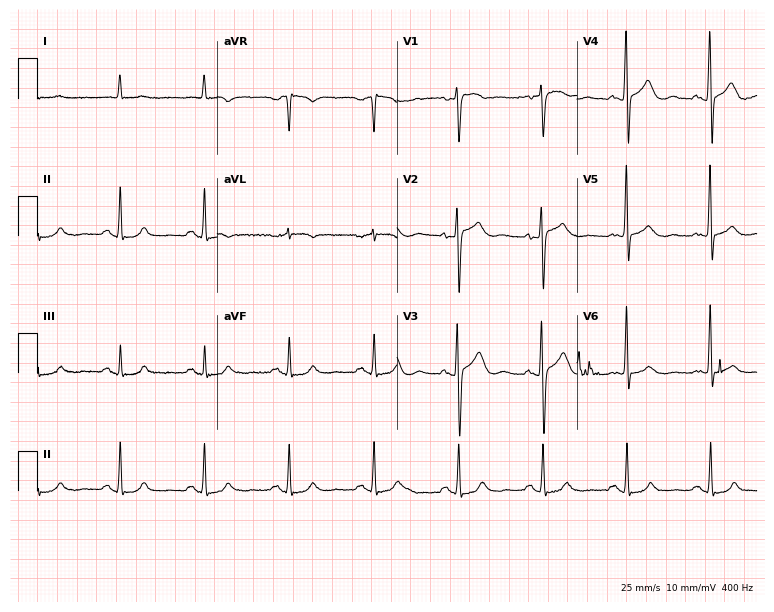
ECG — a male patient, 75 years old. Screened for six findings — first-degree AV block, right bundle branch block, left bundle branch block, sinus bradycardia, atrial fibrillation, sinus tachycardia — none is recorded.